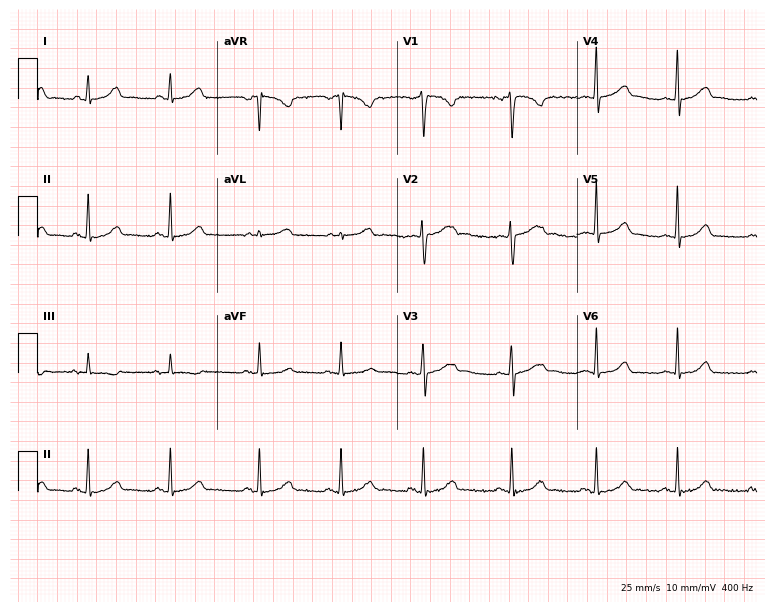
Resting 12-lead electrocardiogram. Patient: a woman, 20 years old. Read as a normal ECG.